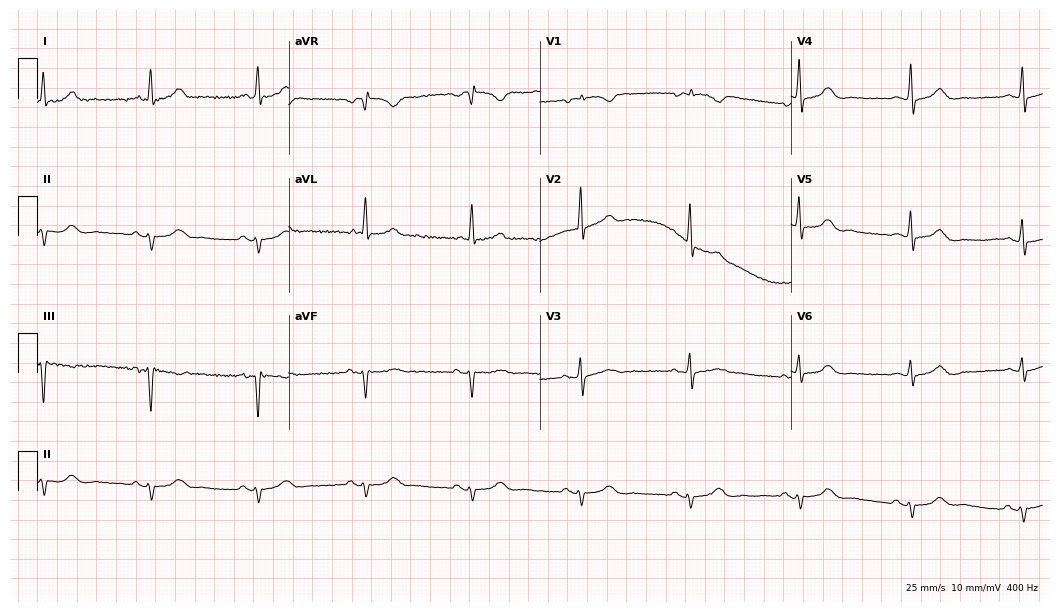
ECG (10.2-second recording at 400 Hz) — a 79-year-old female. Screened for six findings — first-degree AV block, right bundle branch block (RBBB), left bundle branch block (LBBB), sinus bradycardia, atrial fibrillation (AF), sinus tachycardia — none is recorded. Findings outside these six are not listed.